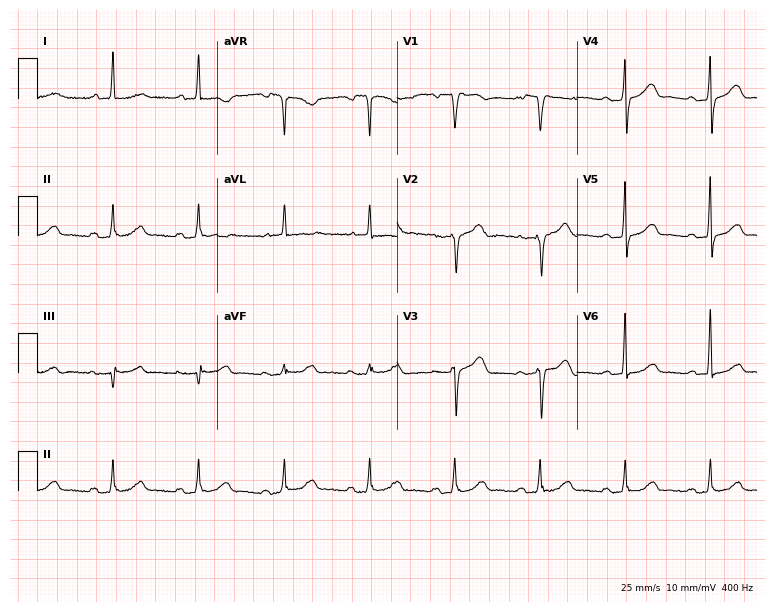
12-lead ECG (7.3-second recording at 400 Hz) from a 76-year-old man. Labelled as a normal ECG.